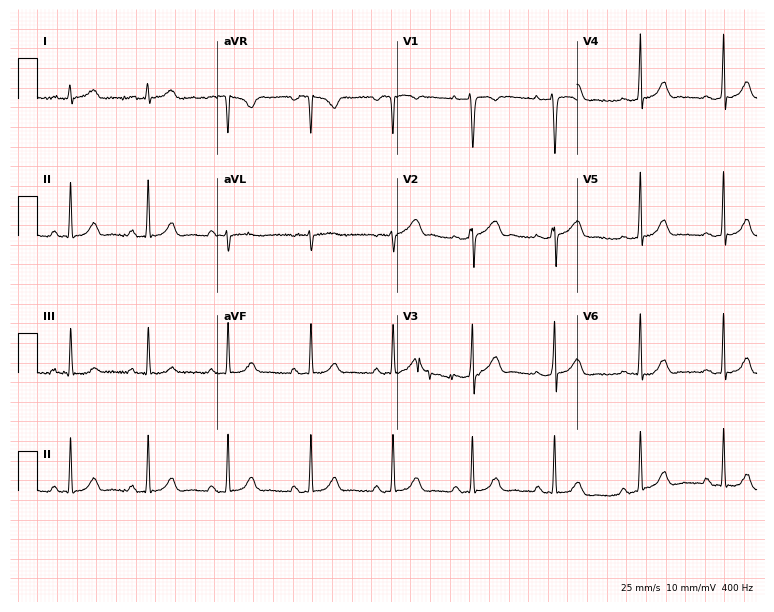
Electrocardiogram (7.3-second recording at 400 Hz), a female, 28 years old. Of the six screened findings (first-degree AV block, right bundle branch block (RBBB), left bundle branch block (LBBB), sinus bradycardia, atrial fibrillation (AF), sinus tachycardia), none is recorded. Only these six findings were labelled.